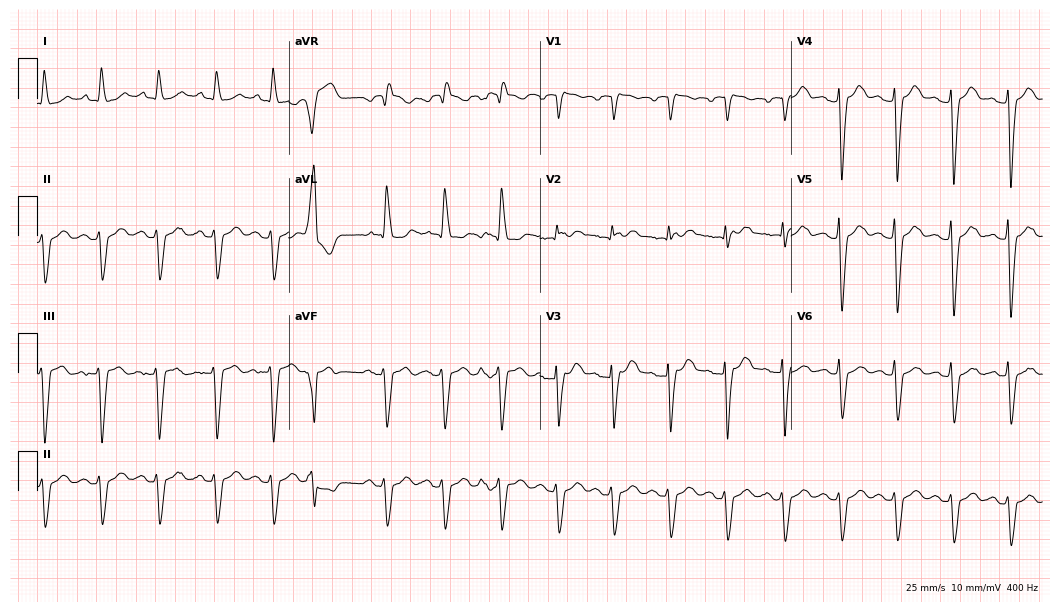
12-lead ECG from a male, 88 years old. Findings include sinus tachycardia (a sinus rate of 100 beats per minute or more).